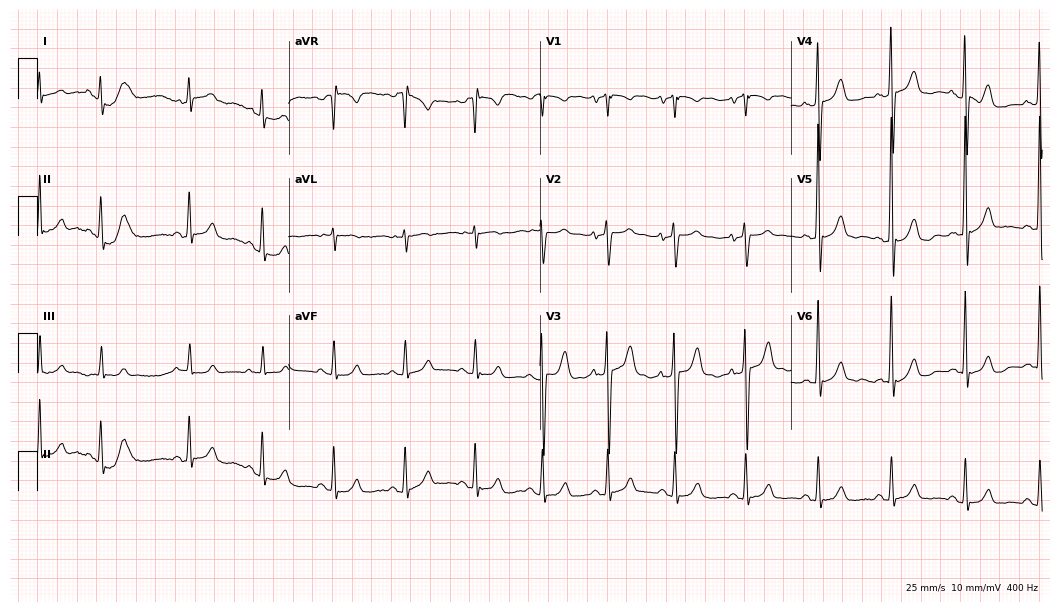
ECG — a 65-year-old man. Labelled as a normal ECG.